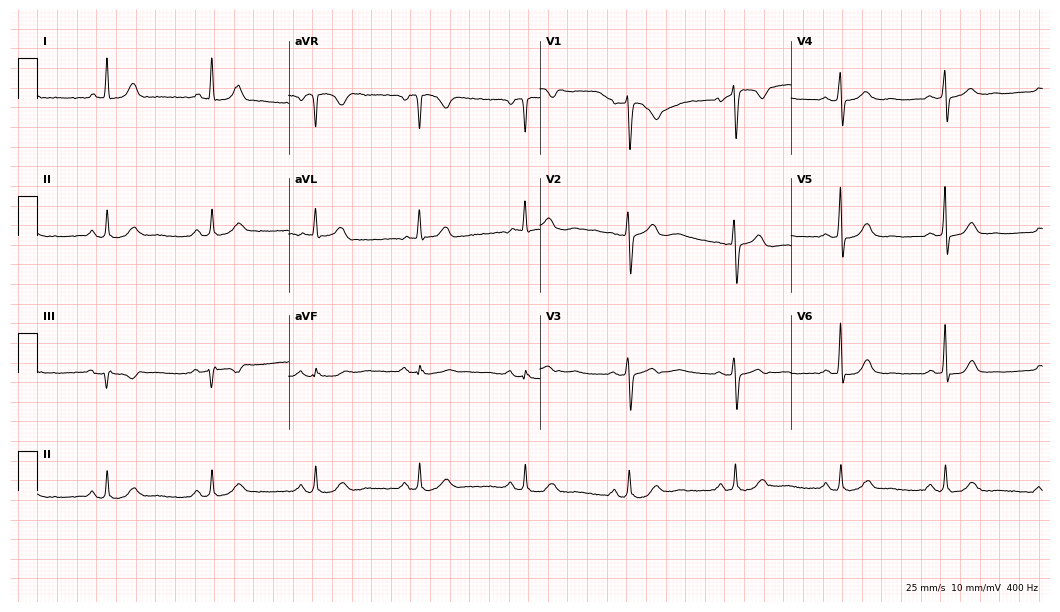
12-lead ECG from an 83-year-old female. Recorded interpretation: within normal limits.